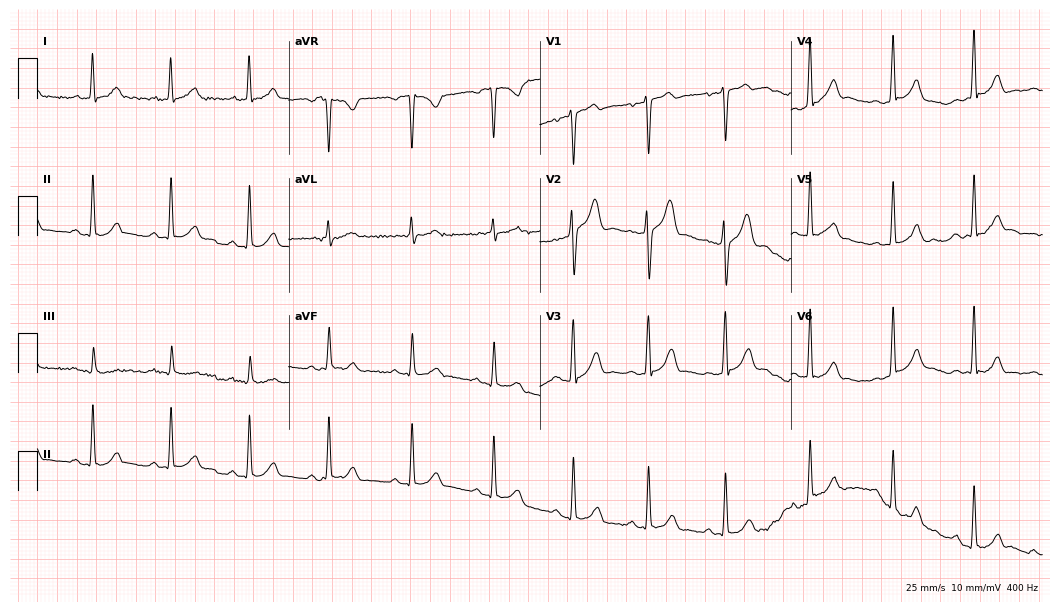
Resting 12-lead electrocardiogram. Patient: a male, 27 years old. Read as a normal ECG.